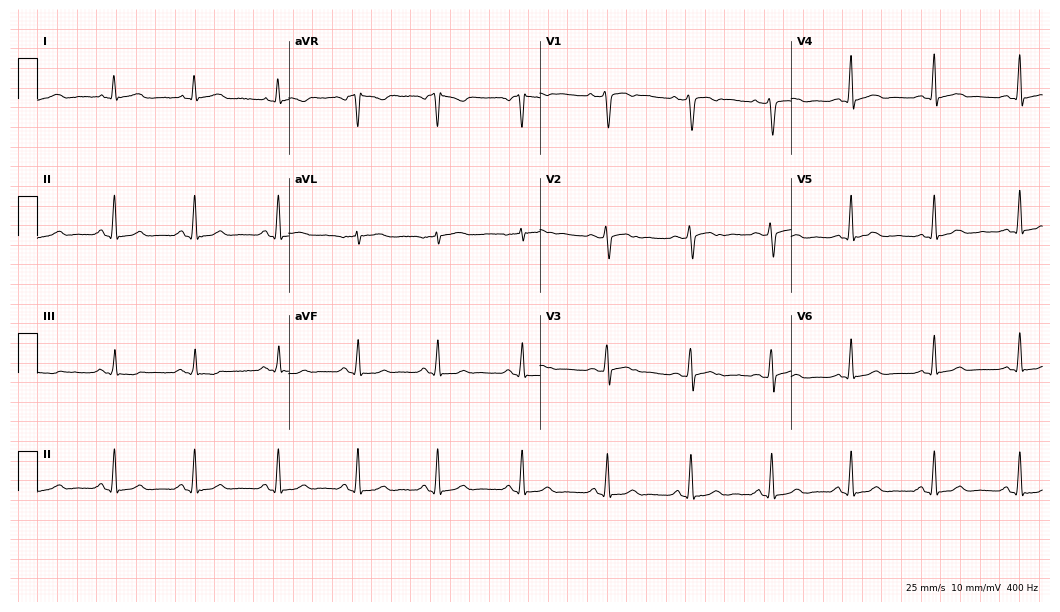
ECG (10.2-second recording at 400 Hz) — a 39-year-old male patient. Labelled as a normal ECG.